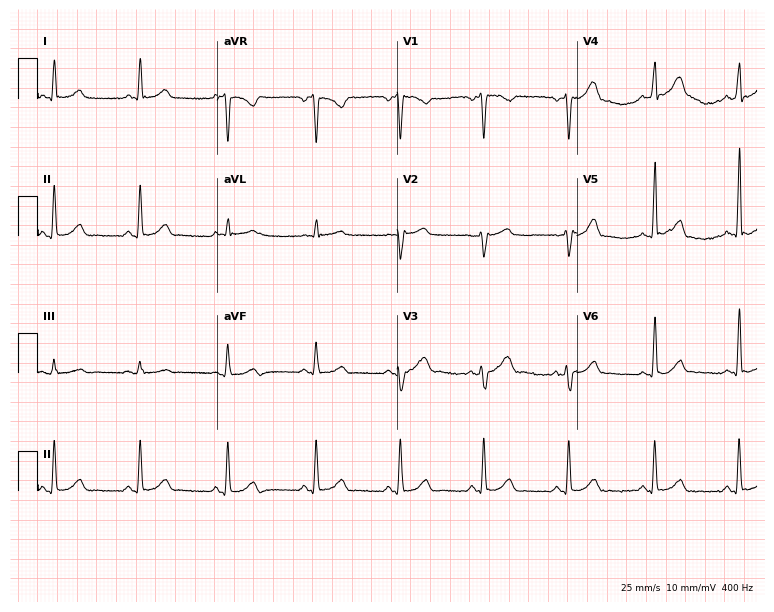
12-lead ECG (7.3-second recording at 400 Hz) from a man, 46 years old. Labelled as a normal ECG.